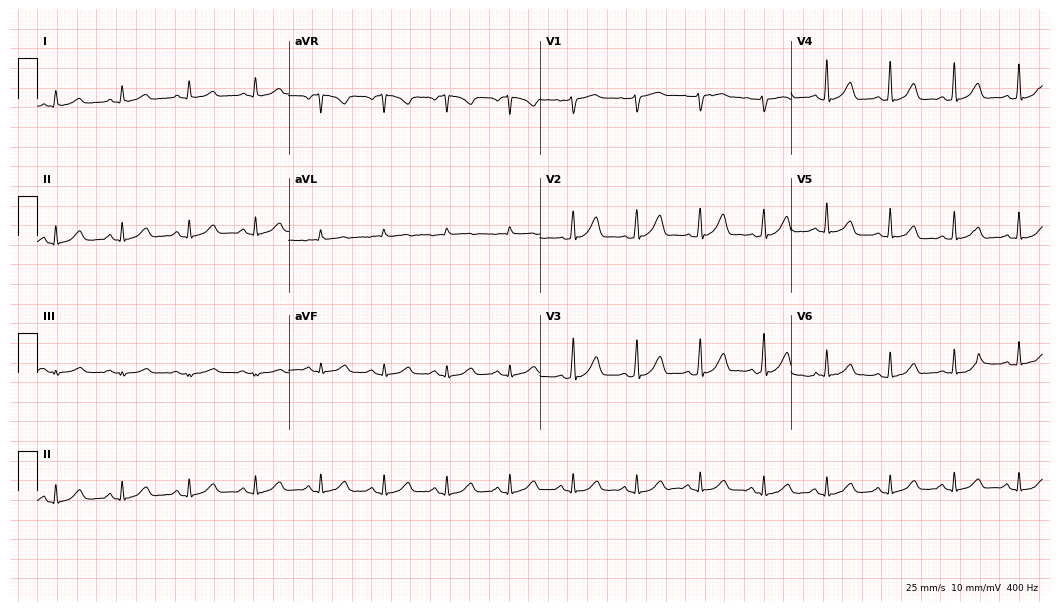
Standard 12-lead ECG recorded from a woman, 48 years old. Read as a normal ECG.